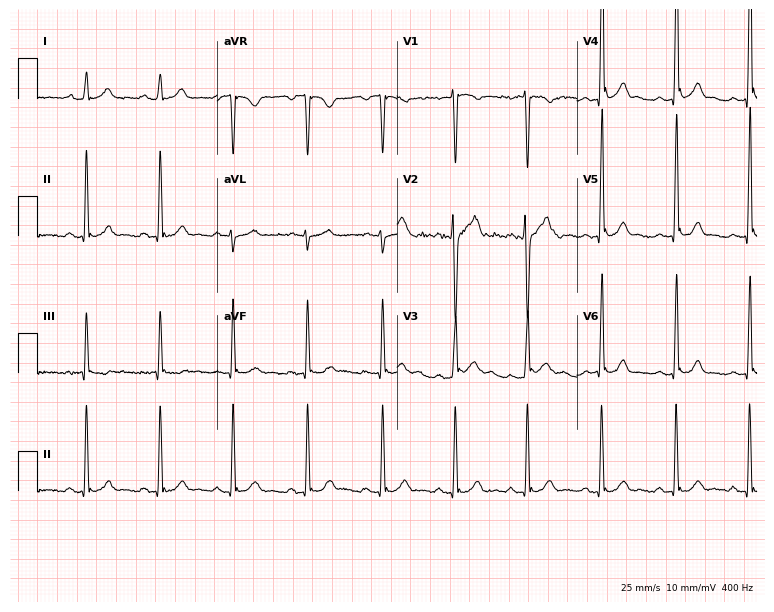
12-lead ECG (7.3-second recording at 400 Hz) from a 19-year-old male. Screened for six findings — first-degree AV block, right bundle branch block, left bundle branch block, sinus bradycardia, atrial fibrillation, sinus tachycardia — none is recorded. Only these six findings were labelled.